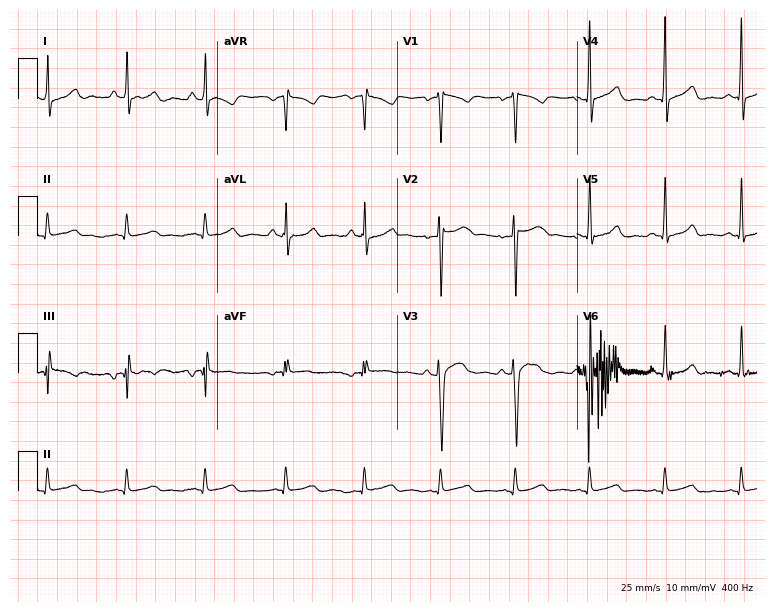
Resting 12-lead electrocardiogram. Patient: a man, 22 years old. Read as a normal ECG.